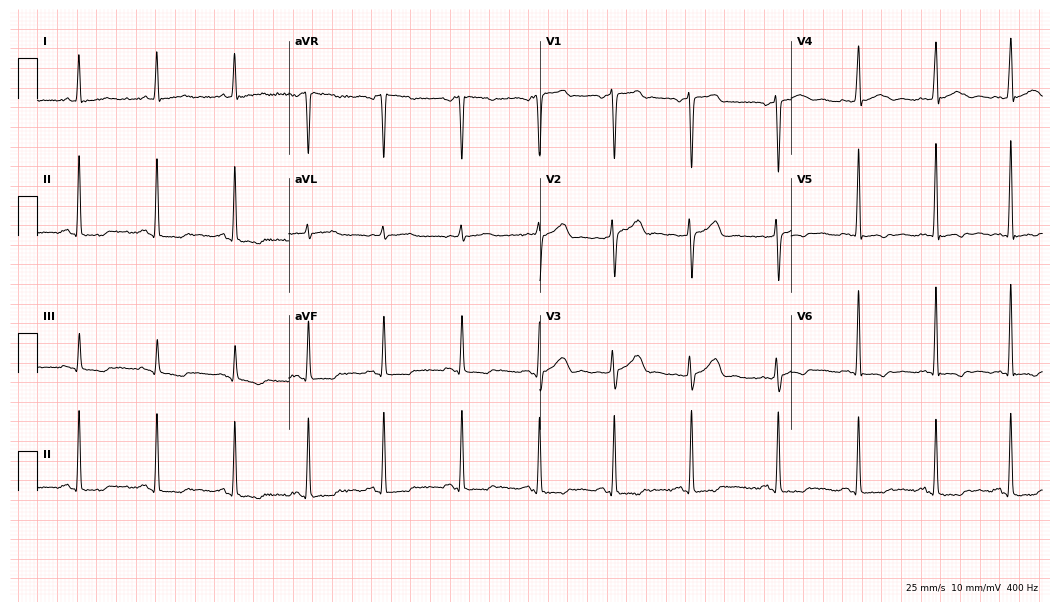
12-lead ECG from a 40-year-old man. Screened for six findings — first-degree AV block, right bundle branch block (RBBB), left bundle branch block (LBBB), sinus bradycardia, atrial fibrillation (AF), sinus tachycardia — none is recorded. Findings outside these six are not listed.